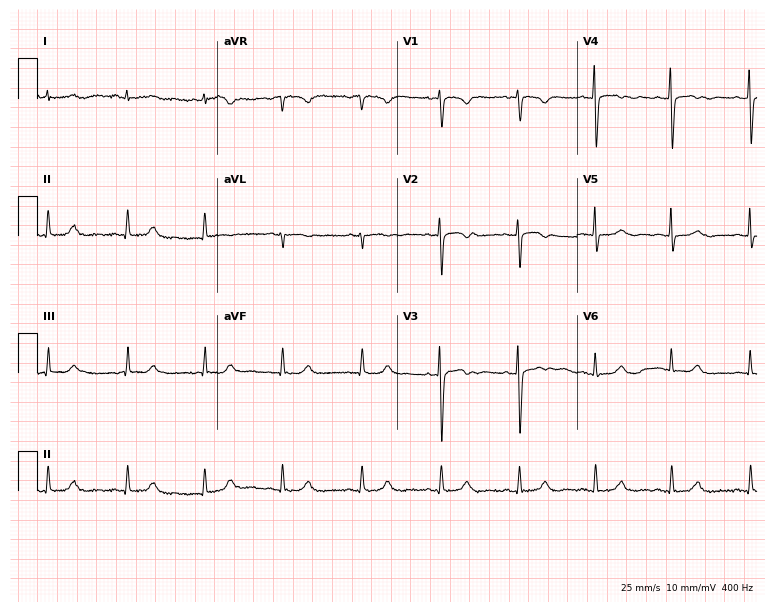
Electrocardiogram (7.3-second recording at 400 Hz), a 44-year-old woman. Of the six screened findings (first-degree AV block, right bundle branch block, left bundle branch block, sinus bradycardia, atrial fibrillation, sinus tachycardia), none is recorded.